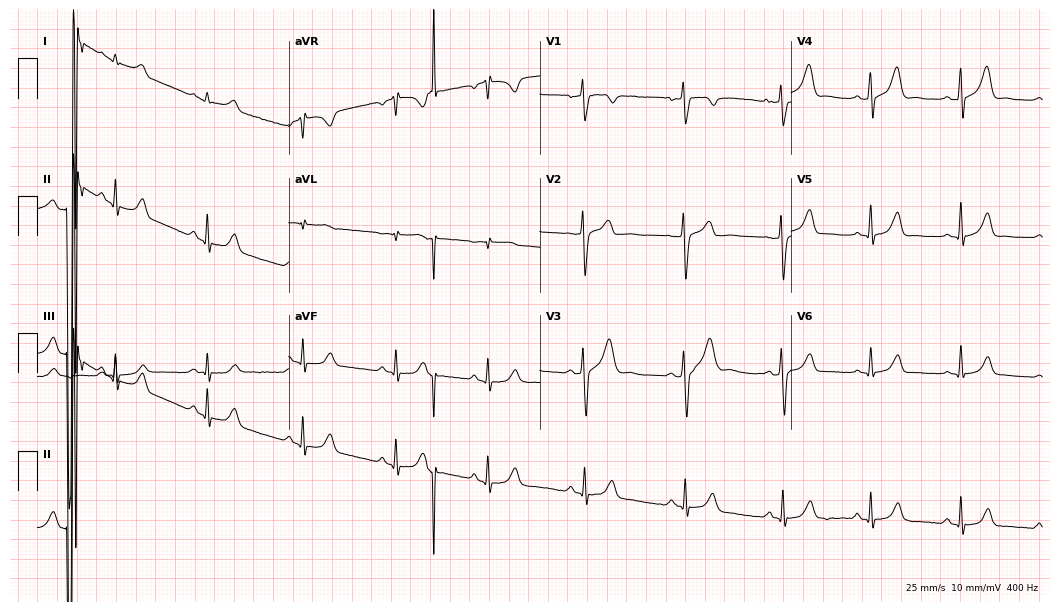
12-lead ECG from a man, 32 years old. Labelled as a normal ECG.